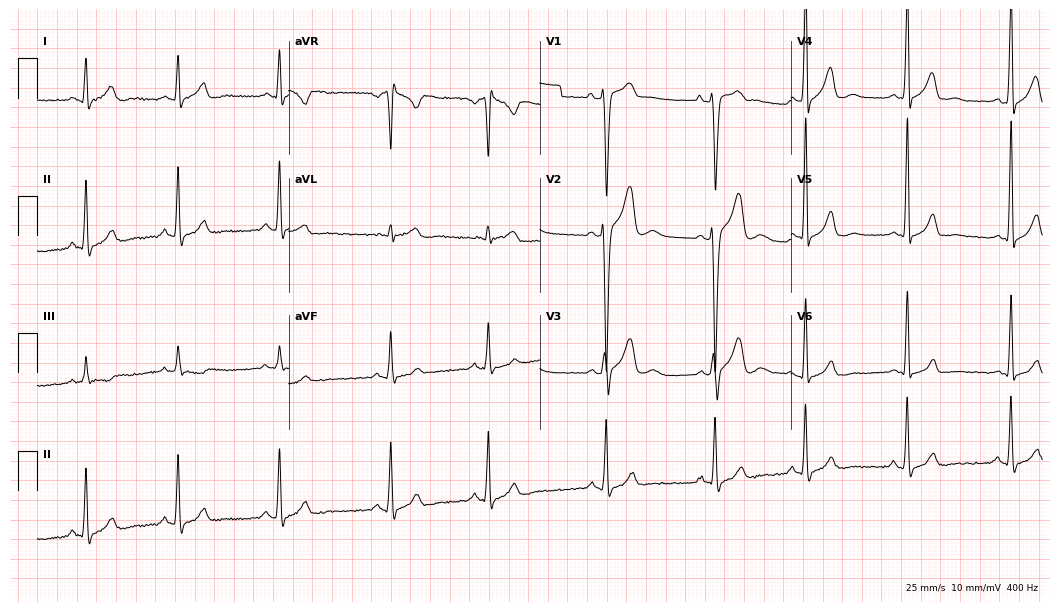
Electrocardiogram (10.2-second recording at 400 Hz), a 22-year-old male patient. Of the six screened findings (first-degree AV block, right bundle branch block, left bundle branch block, sinus bradycardia, atrial fibrillation, sinus tachycardia), none is recorded.